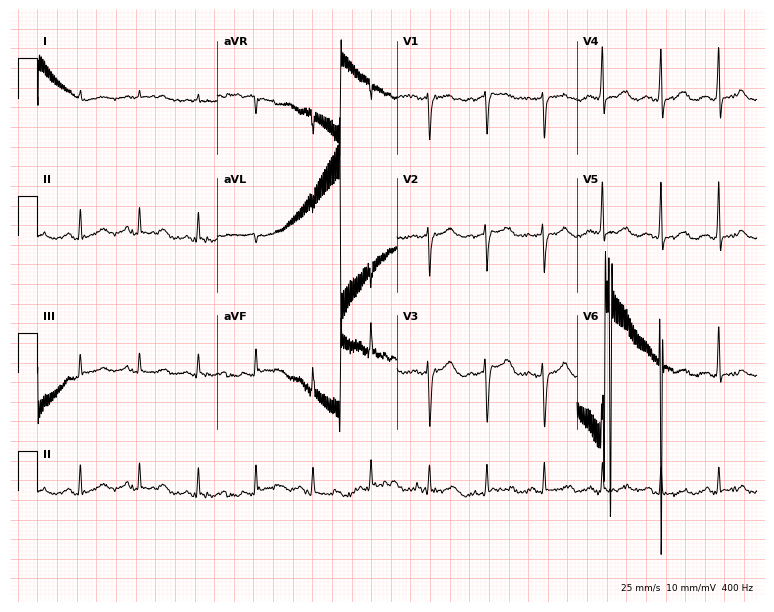
12-lead ECG (7.3-second recording at 400 Hz) from a woman, 33 years old. Screened for six findings — first-degree AV block, right bundle branch block (RBBB), left bundle branch block (LBBB), sinus bradycardia, atrial fibrillation (AF), sinus tachycardia — none is recorded. Findings outside these six are not listed.